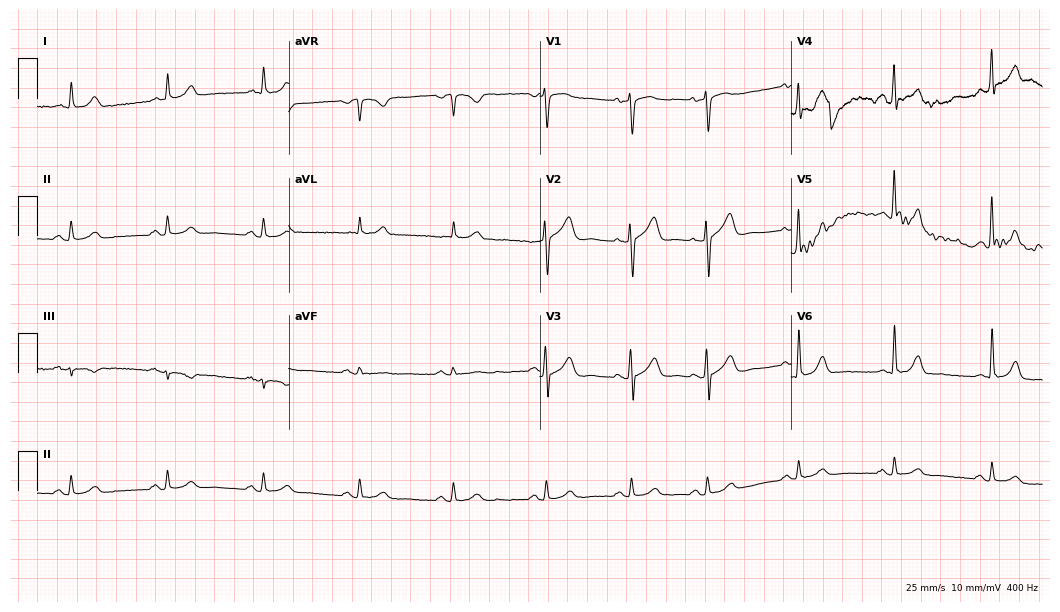
ECG — a 62-year-old man. Labelled as a normal ECG.